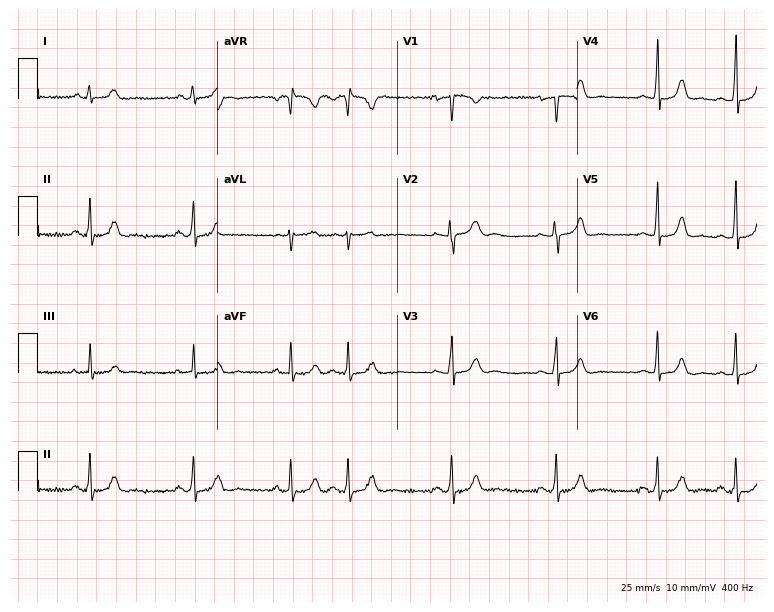
12-lead ECG from a female patient, 25 years old. No first-degree AV block, right bundle branch block (RBBB), left bundle branch block (LBBB), sinus bradycardia, atrial fibrillation (AF) or sinus tachycardia recorded for this tracing. Only these six findings were labelled.